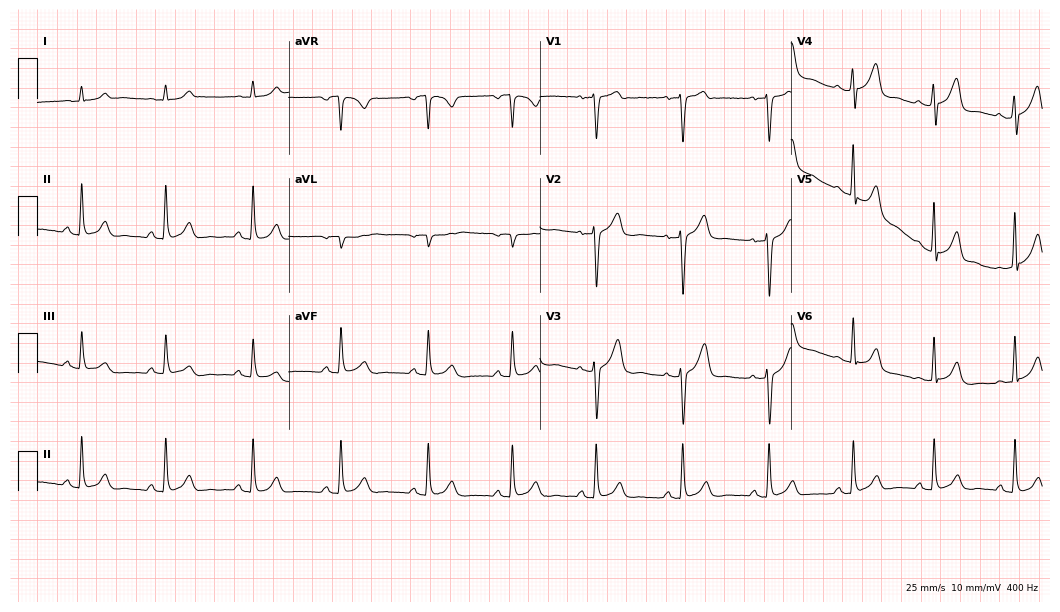
12-lead ECG from a male, 49 years old (10.2-second recording at 400 Hz). Recorded interpretation: within normal limits.